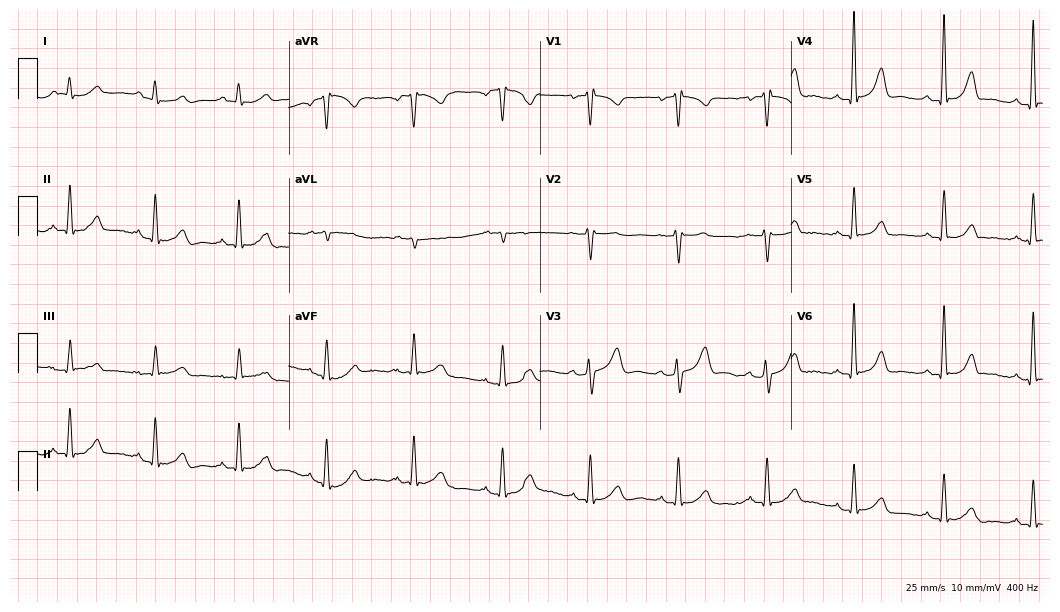
ECG (10.2-second recording at 400 Hz) — a 53-year-old male. Labelled as a normal ECG.